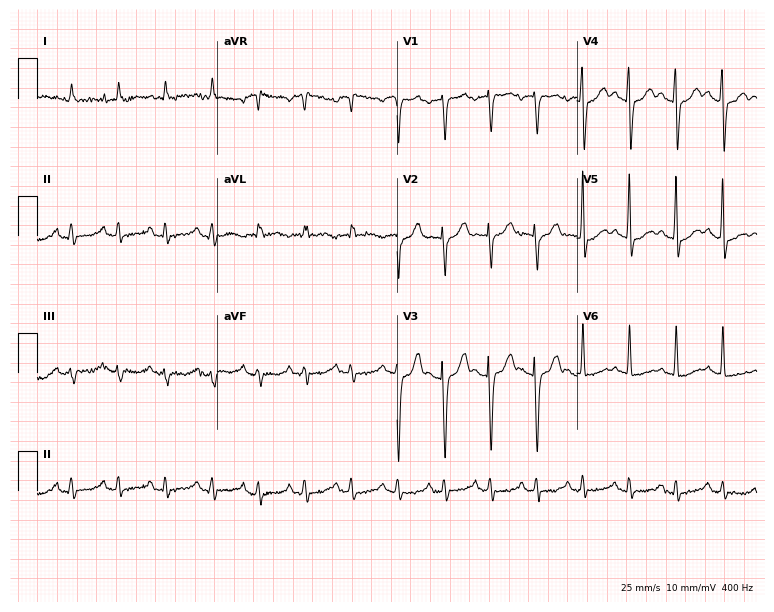
Resting 12-lead electrocardiogram. Patient: a woman, 74 years old. None of these six findings is recorded: first-degree AV block, right bundle branch block (RBBB), left bundle branch block (LBBB), sinus bradycardia, atrial fibrillation (AF), sinus tachycardia. Findings outside these six are not listed.